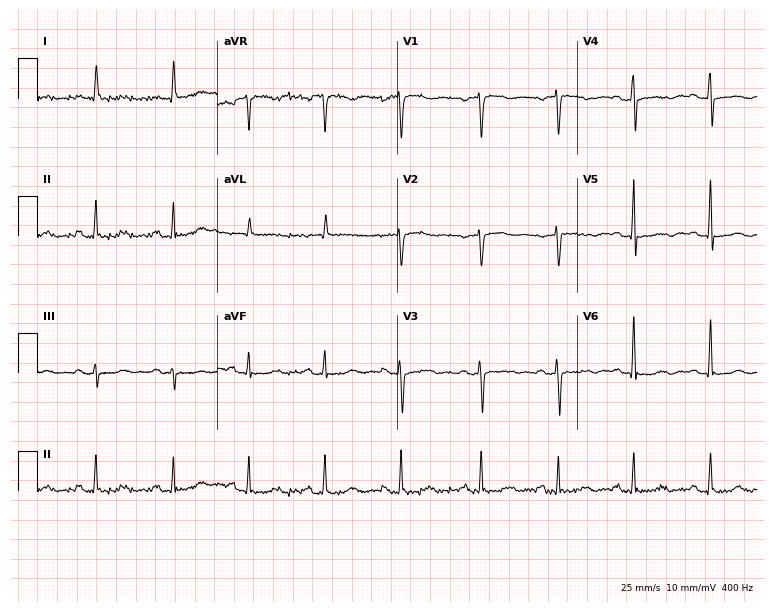
12-lead ECG from a female, 77 years old. No first-degree AV block, right bundle branch block (RBBB), left bundle branch block (LBBB), sinus bradycardia, atrial fibrillation (AF) or sinus tachycardia recorded for this tracing. Only these six findings were labelled.